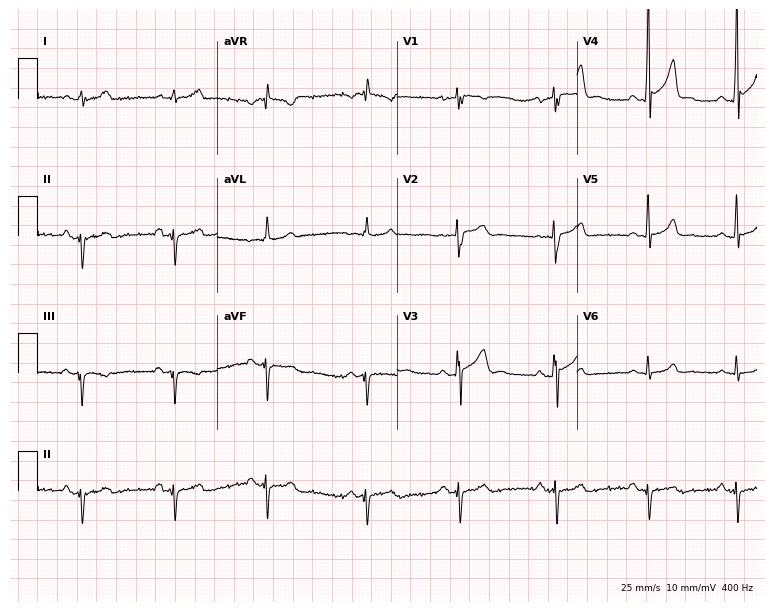
12-lead ECG from a 28-year-old man (7.3-second recording at 400 Hz). No first-degree AV block, right bundle branch block, left bundle branch block, sinus bradycardia, atrial fibrillation or sinus tachycardia recorded for this tracing. Only these six findings were labelled.